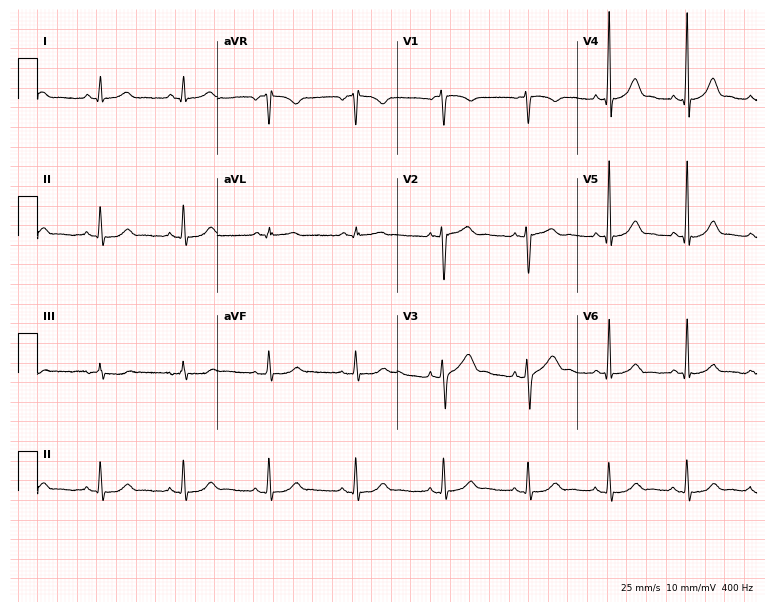
12-lead ECG (7.3-second recording at 400 Hz) from a male patient, 33 years old. Labelled as a normal ECG.